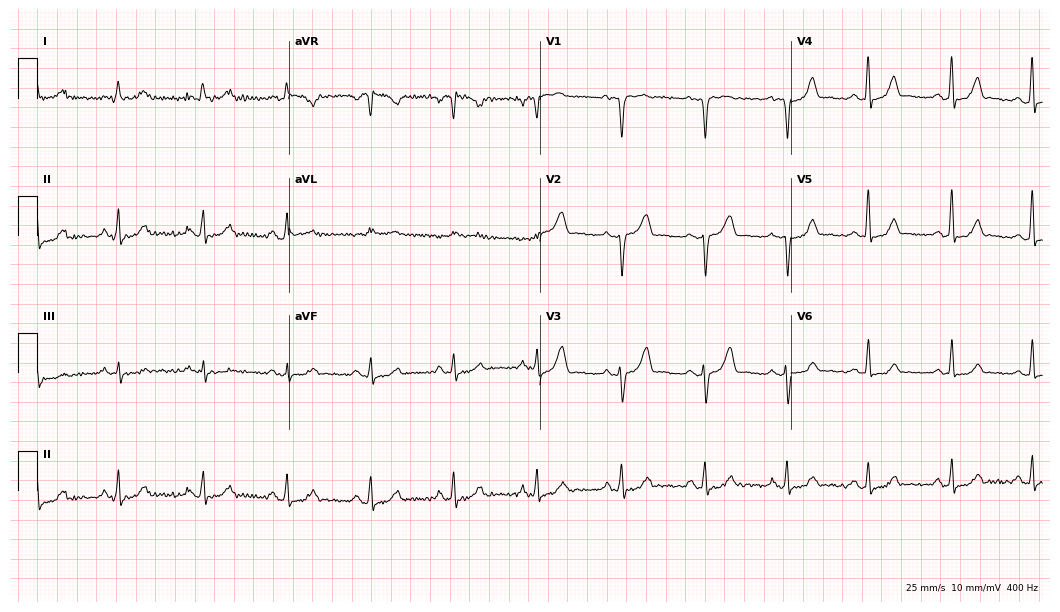
12-lead ECG from a female, 41 years old (10.2-second recording at 400 Hz). No first-degree AV block, right bundle branch block, left bundle branch block, sinus bradycardia, atrial fibrillation or sinus tachycardia recorded for this tracing. Findings outside these six are not listed.